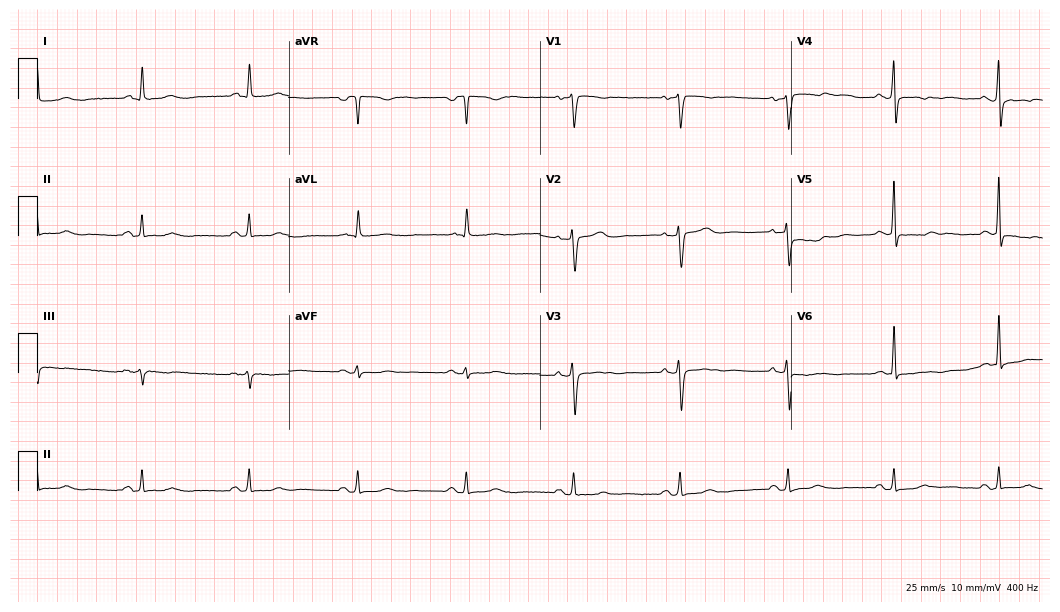
ECG — a 74-year-old woman. Labelled as a normal ECG.